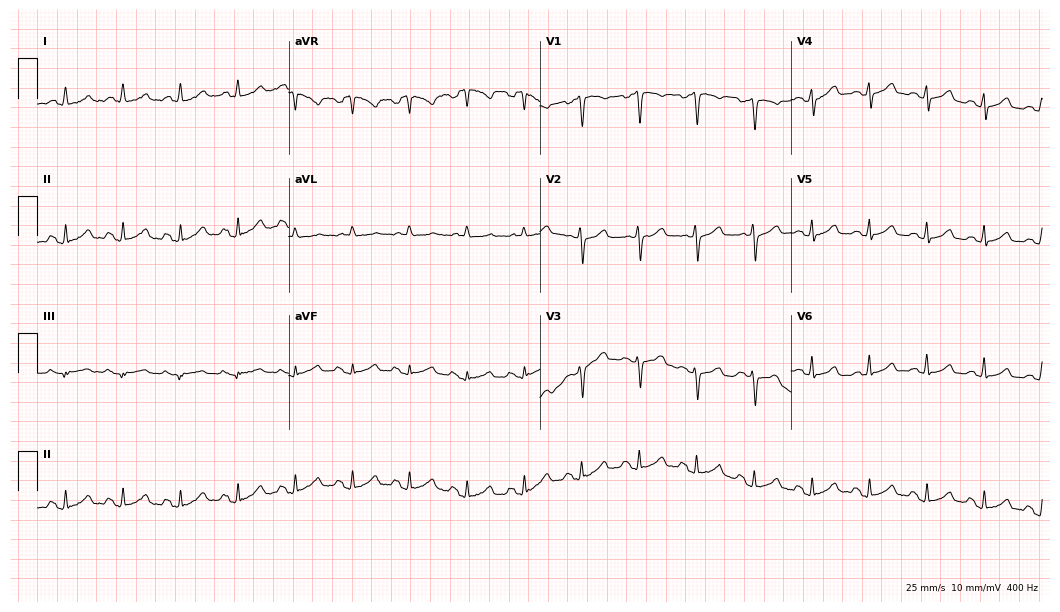
12-lead ECG from a female, 77 years old. Shows sinus tachycardia (a sinus rate of 100 beats per minute or more).